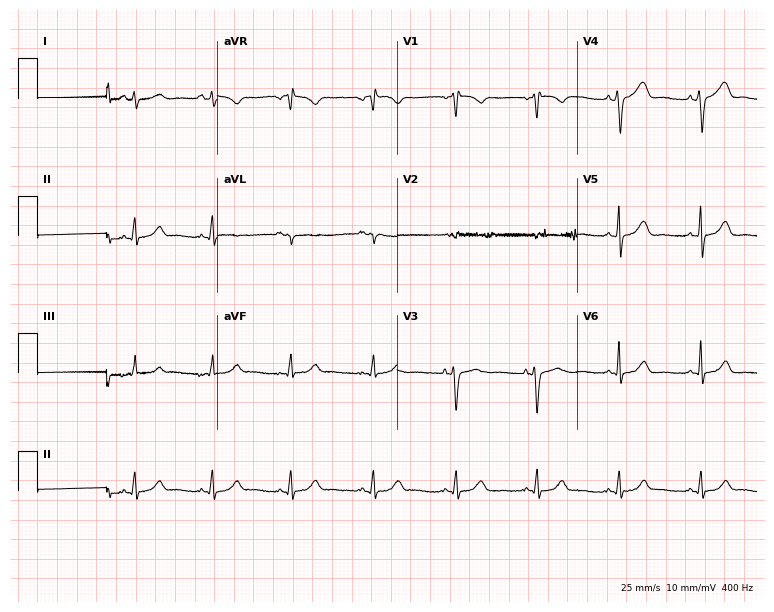
12-lead ECG (7.3-second recording at 400 Hz) from a female patient, 31 years old. Screened for six findings — first-degree AV block, right bundle branch block, left bundle branch block, sinus bradycardia, atrial fibrillation, sinus tachycardia — none is recorded. Other findings, if any, are not listed.